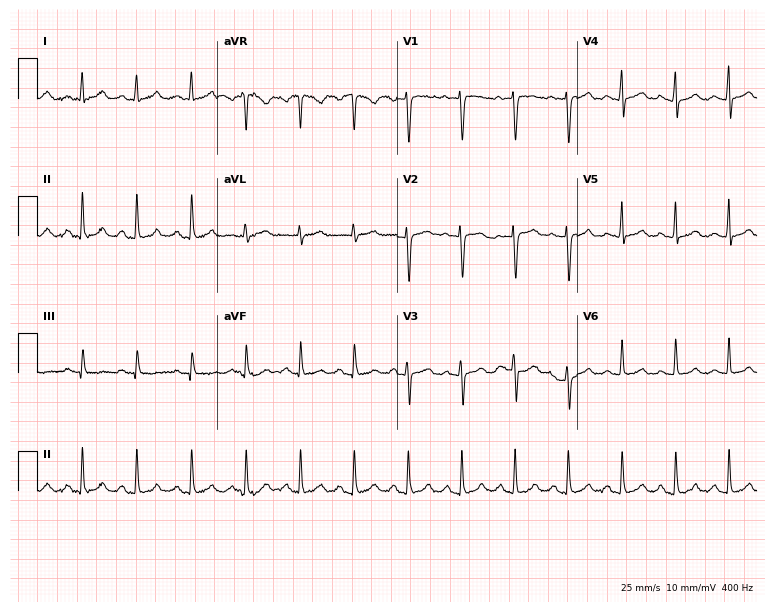
12-lead ECG from a 21-year-old female patient. Shows sinus tachycardia (a sinus rate of 100 beats per minute or more).